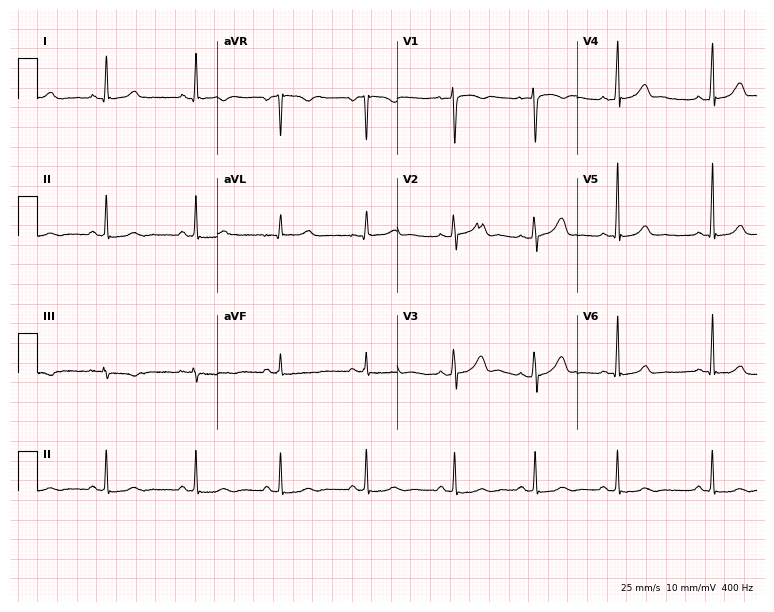
12-lead ECG from a 27-year-old woman (7.3-second recording at 400 Hz). Recorded interpretation: within normal limits.